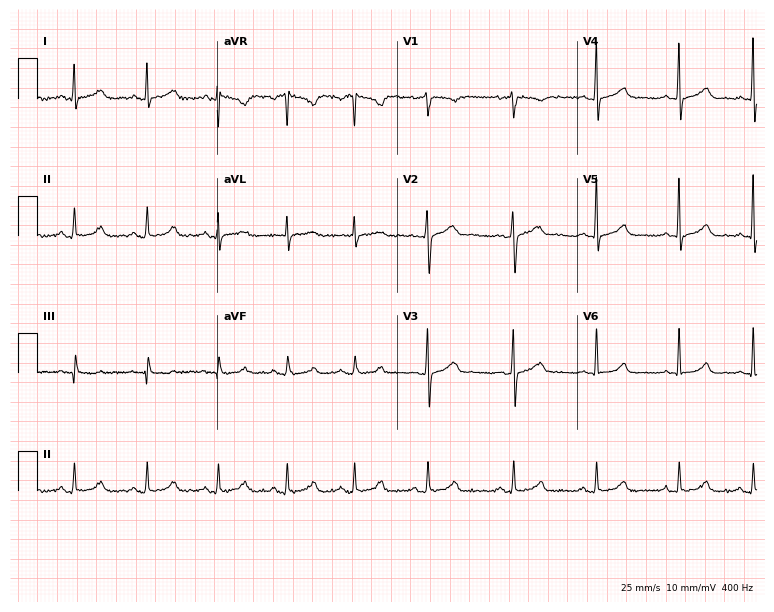
12-lead ECG from a 41-year-old female (7.3-second recording at 400 Hz). Recorded interpretation: within normal limits.